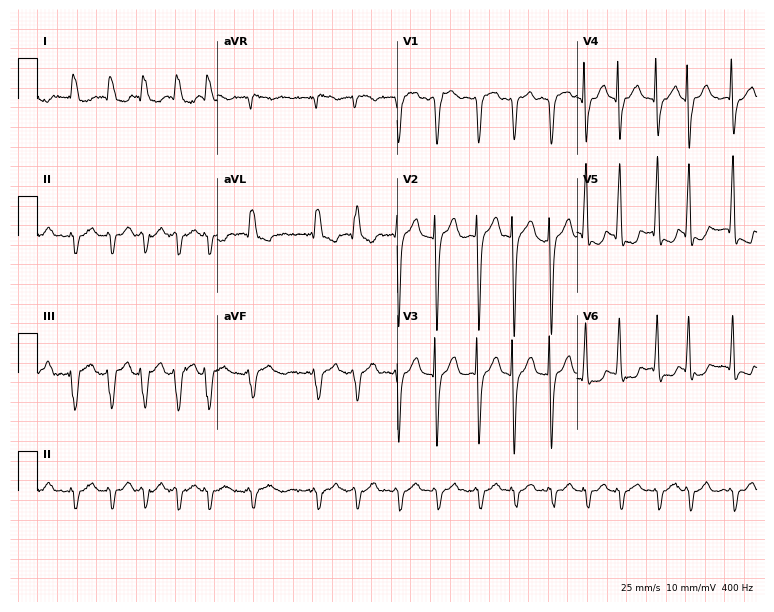
12-lead ECG from a 70-year-old male patient (7.3-second recording at 400 Hz). Shows atrial fibrillation.